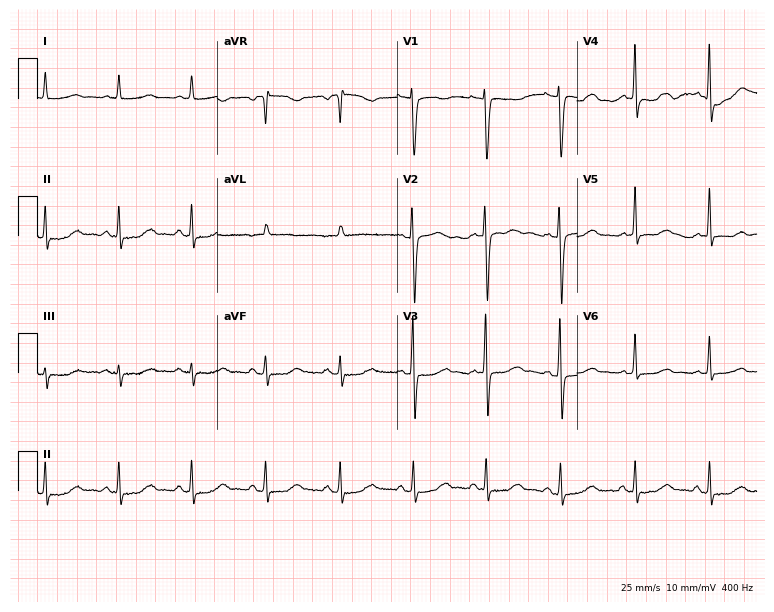
12-lead ECG from a female, 53 years old. Screened for six findings — first-degree AV block, right bundle branch block (RBBB), left bundle branch block (LBBB), sinus bradycardia, atrial fibrillation (AF), sinus tachycardia — none is recorded. Findings outside these six are not listed.